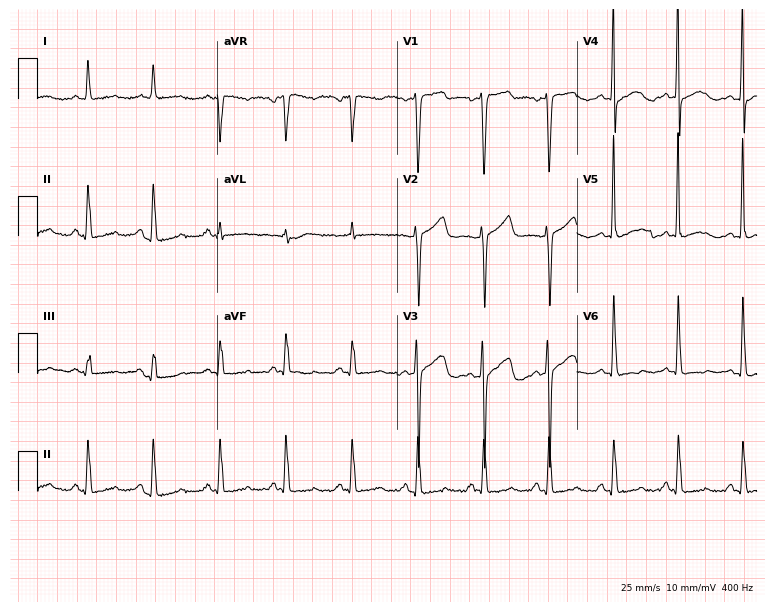
Standard 12-lead ECG recorded from a 56-year-old woman. Read as a normal ECG.